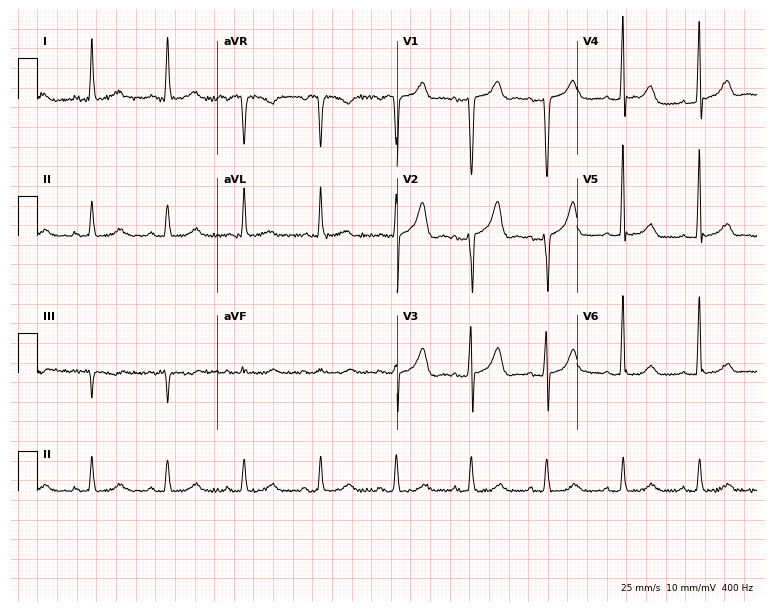
12-lead ECG (7.3-second recording at 400 Hz) from a woman, 60 years old. Screened for six findings — first-degree AV block, right bundle branch block, left bundle branch block, sinus bradycardia, atrial fibrillation, sinus tachycardia — none is recorded.